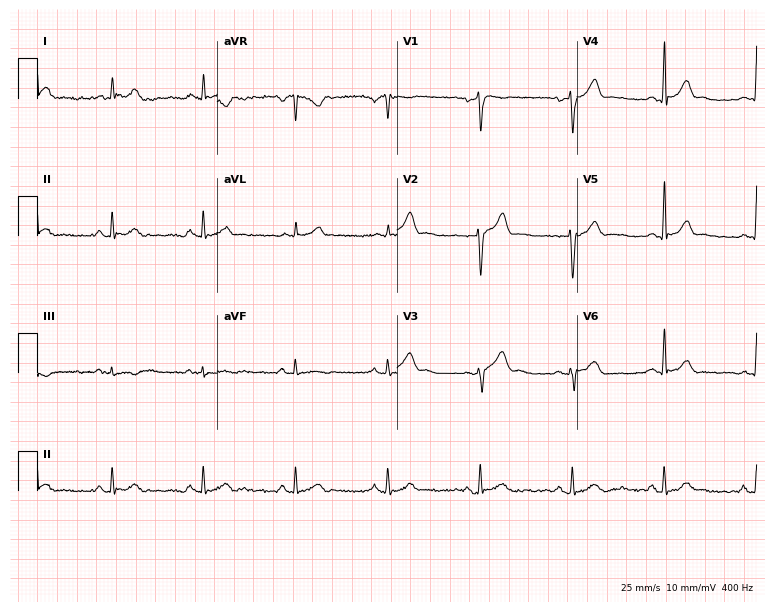
Electrocardiogram, a man, 31 years old. Overall reading on record: normal ECG.